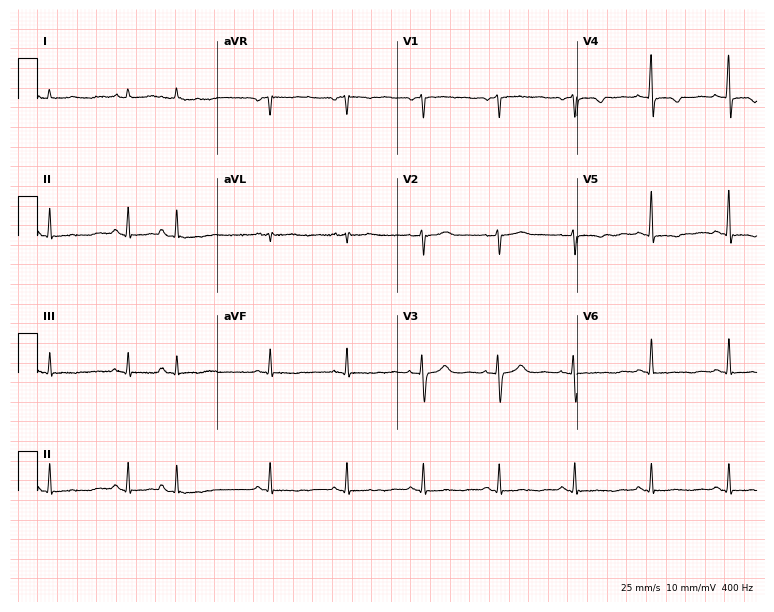
Standard 12-lead ECG recorded from a female patient, 48 years old. None of these six findings is recorded: first-degree AV block, right bundle branch block, left bundle branch block, sinus bradycardia, atrial fibrillation, sinus tachycardia.